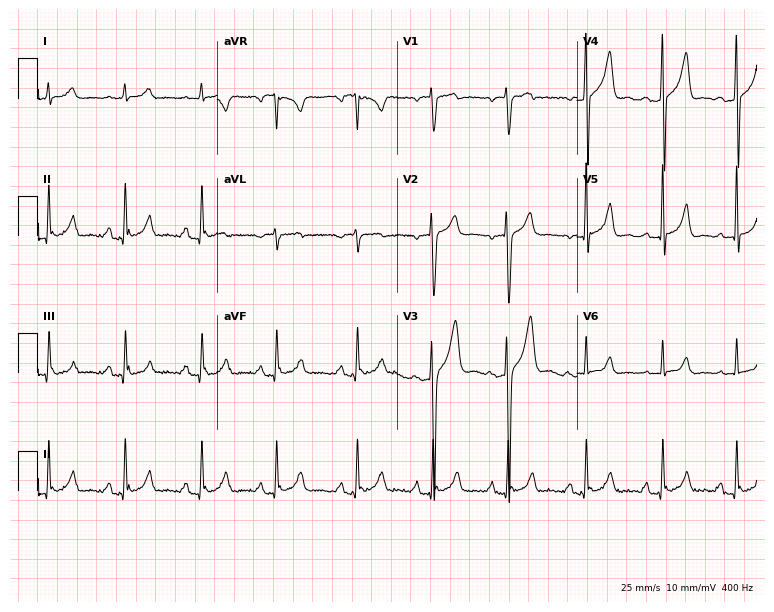
12-lead ECG from a male, 23 years old. No first-degree AV block, right bundle branch block, left bundle branch block, sinus bradycardia, atrial fibrillation or sinus tachycardia recorded for this tracing. Only these six findings were labelled.